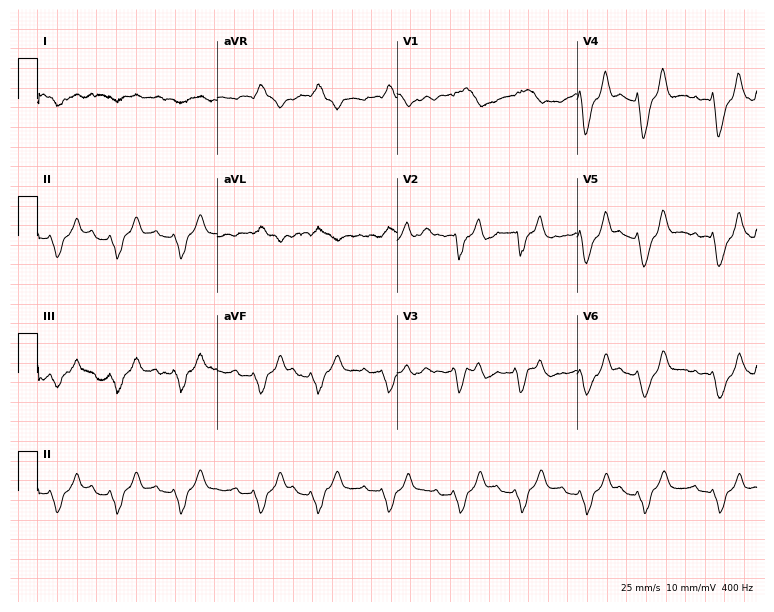
Electrocardiogram (7.3-second recording at 400 Hz), a female patient, 54 years old. Interpretation includes right bundle branch block.